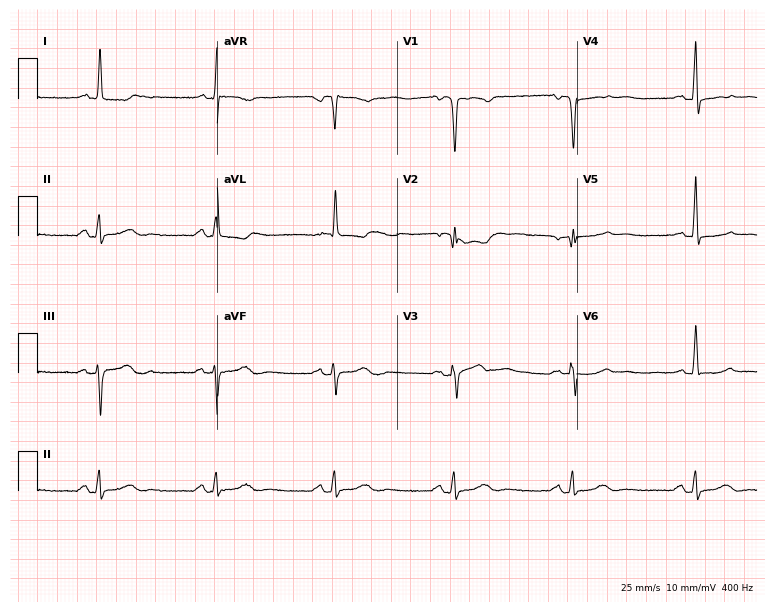
Standard 12-lead ECG recorded from a 64-year-old woman. The tracing shows sinus bradycardia (a sinus rate of 50 beats per minute or less).